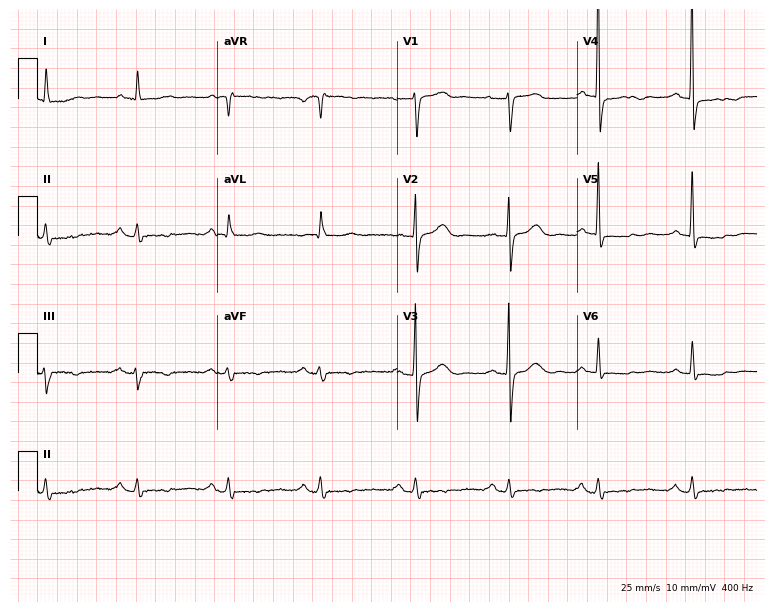
12-lead ECG from a 72-year-old female patient. Screened for six findings — first-degree AV block, right bundle branch block, left bundle branch block, sinus bradycardia, atrial fibrillation, sinus tachycardia — none is recorded. Findings outside these six are not listed.